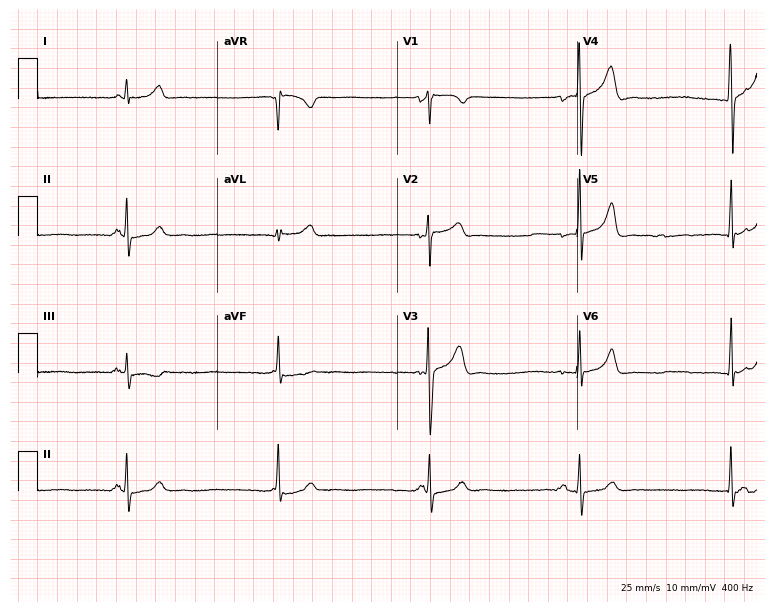
12-lead ECG (7.3-second recording at 400 Hz) from a 23-year-old male patient. Screened for six findings — first-degree AV block, right bundle branch block (RBBB), left bundle branch block (LBBB), sinus bradycardia, atrial fibrillation (AF), sinus tachycardia — none is recorded.